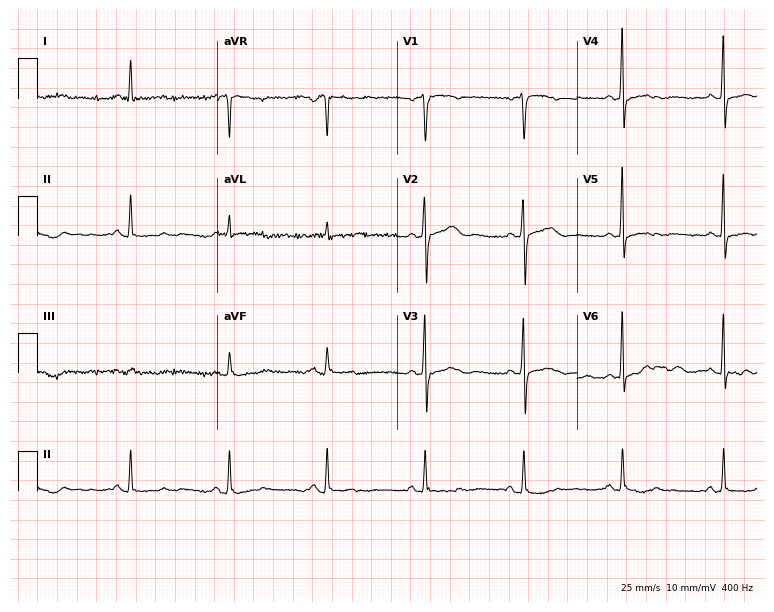
12-lead ECG from a 52-year-old female patient. No first-degree AV block, right bundle branch block (RBBB), left bundle branch block (LBBB), sinus bradycardia, atrial fibrillation (AF) or sinus tachycardia recorded for this tracing. Other findings, if any, are not listed.